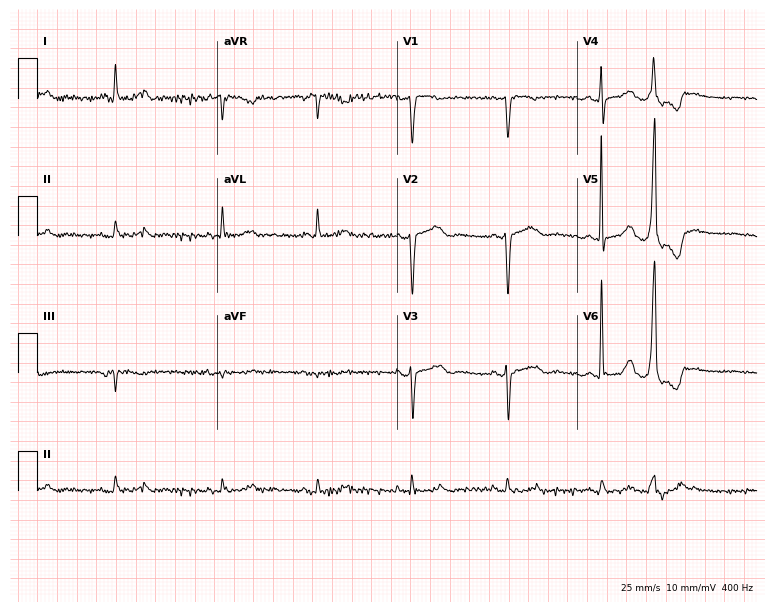
Standard 12-lead ECG recorded from an 82-year-old female patient (7.3-second recording at 400 Hz). None of these six findings is recorded: first-degree AV block, right bundle branch block, left bundle branch block, sinus bradycardia, atrial fibrillation, sinus tachycardia. Only these six findings were labelled.